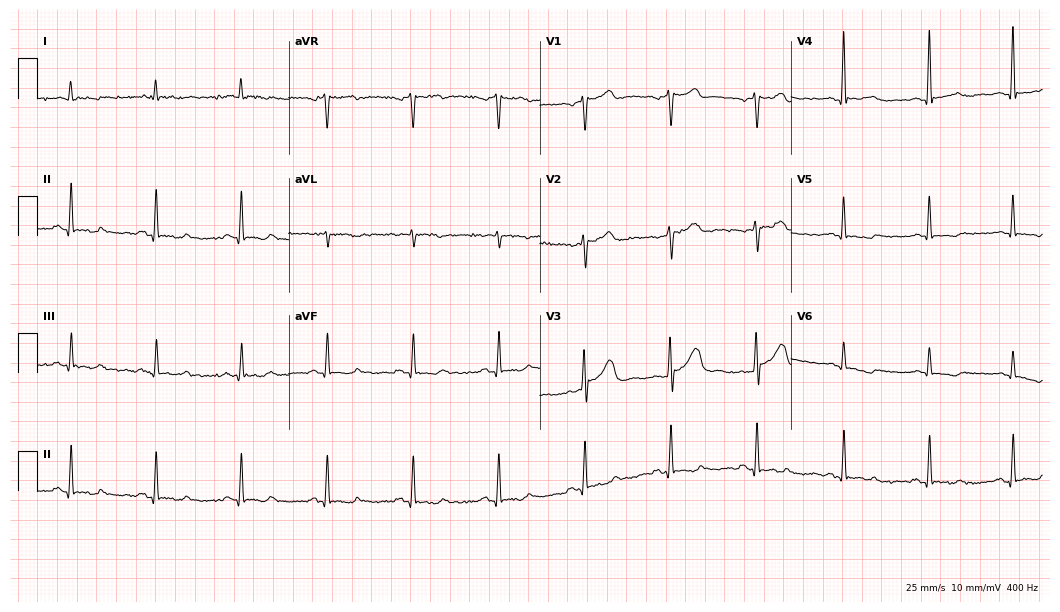
ECG (10.2-second recording at 400 Hz) — a man, 57 years old. Screened for six findings — first-degree AV block, right bundle branch block, left bundle branch block, sinus bradycardia, atrial fibrillation, sinus tachycardia — none is recorded.